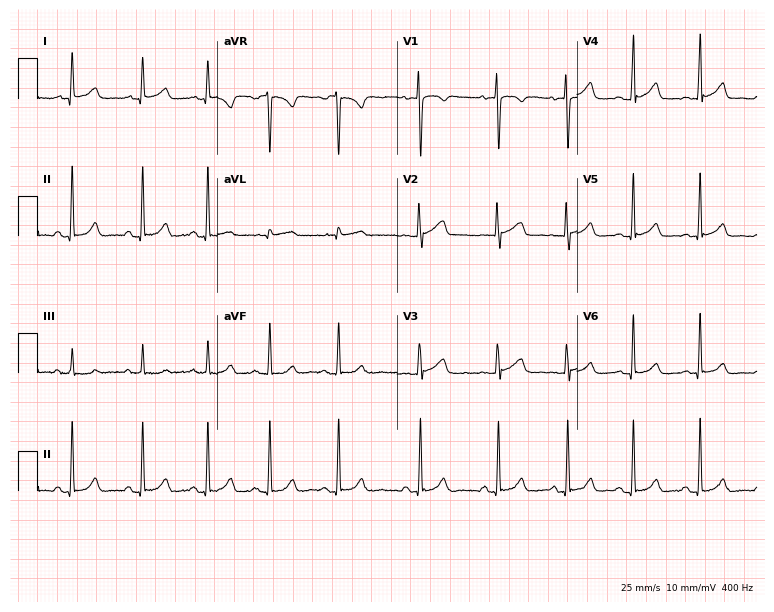
Resting 12-lead electrocardiogram. Patient: a female, 18 years old. Read as a normal ECG.